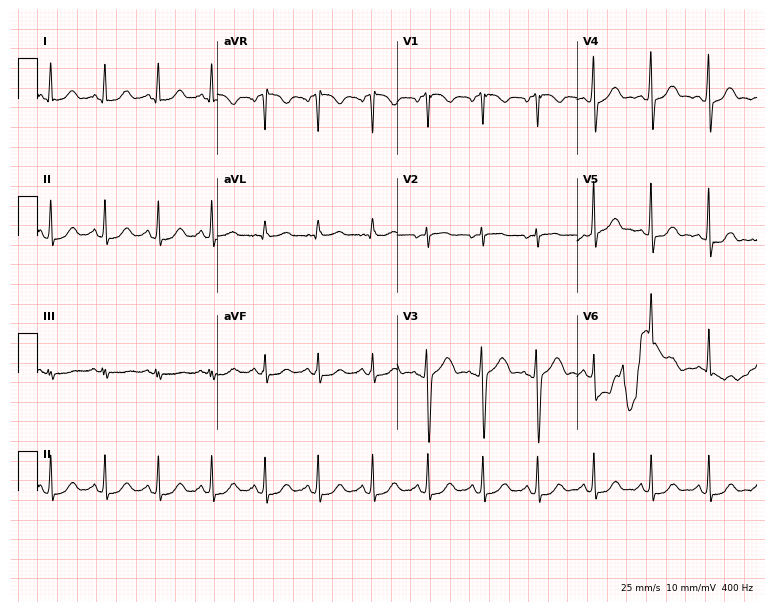
12-lead ECG from a woman, 30 years old. Screened for six findings — first-degree AV block, right bundle branch block, left bundle branch block, sinus bradycardia, atrial fibrillation, sinus tachycardia — none is recorded.